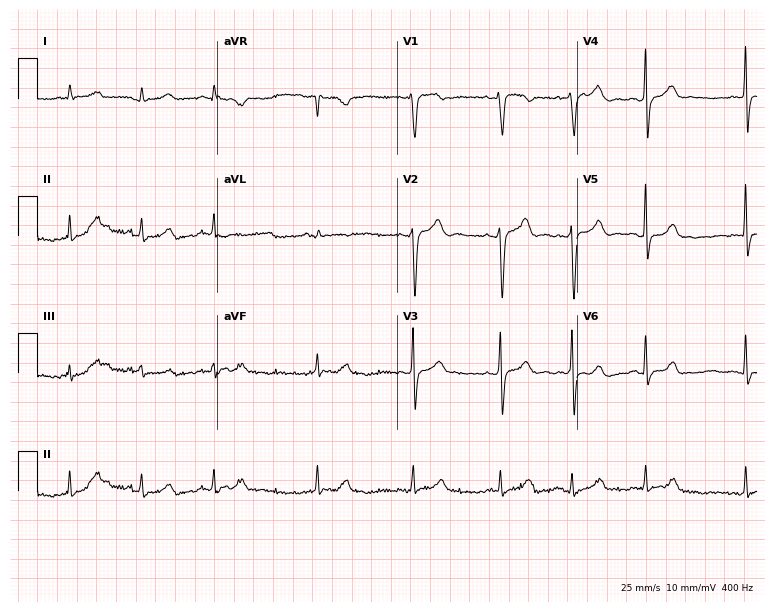
Resting 12-lead electrocardiogram (7.3-second recording at 400 Hz). Patient: a 36-year-old woman. The tracing shows atrial fibrillation.